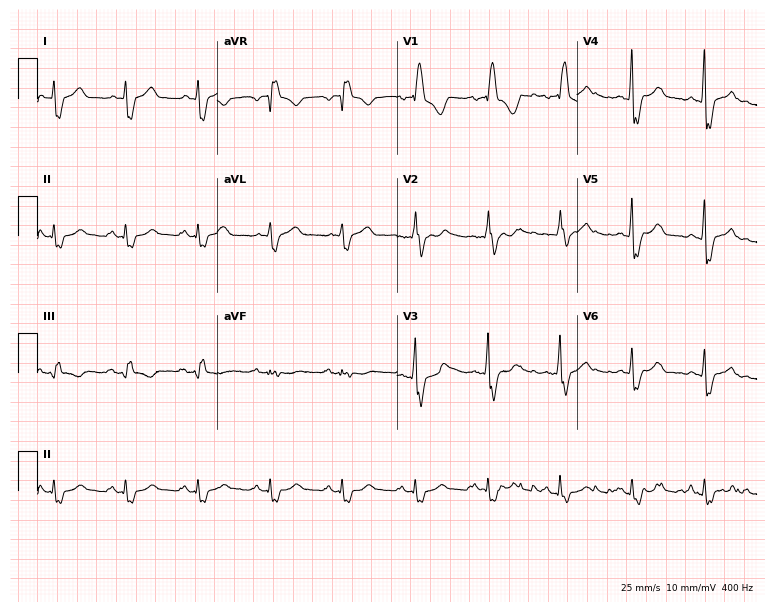
Electrocardiogram (7.3-second recording at 400 Hz), a 51-year-old male patient. Interpretation includes right bundle branch block.